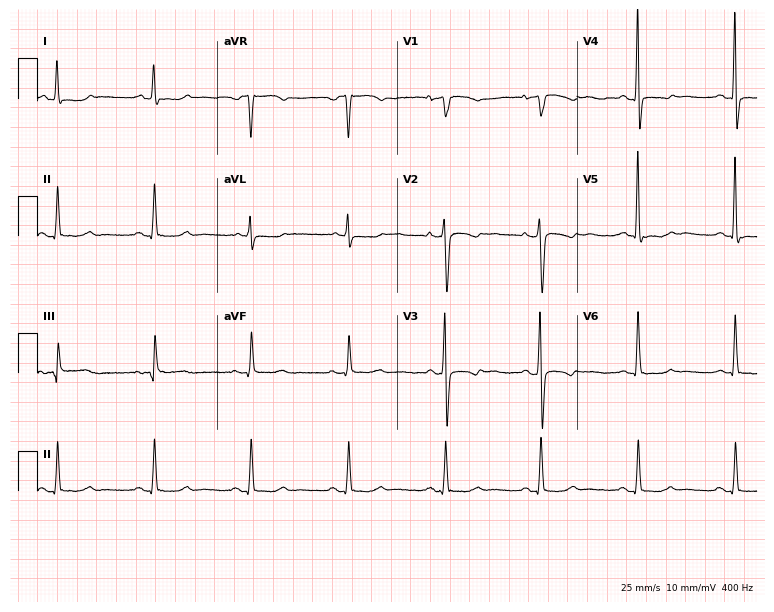
Electrocardiogram (7.3-second recording at 400 Hz), a 38-year-old female. Of the six screened findings (first-degree AV block, right bundle branch block (RBBB), left bundle branch block (LBBB), sinus bradycardia, atrial fibrillation (AF), sinus tachycardia), none is recorded.